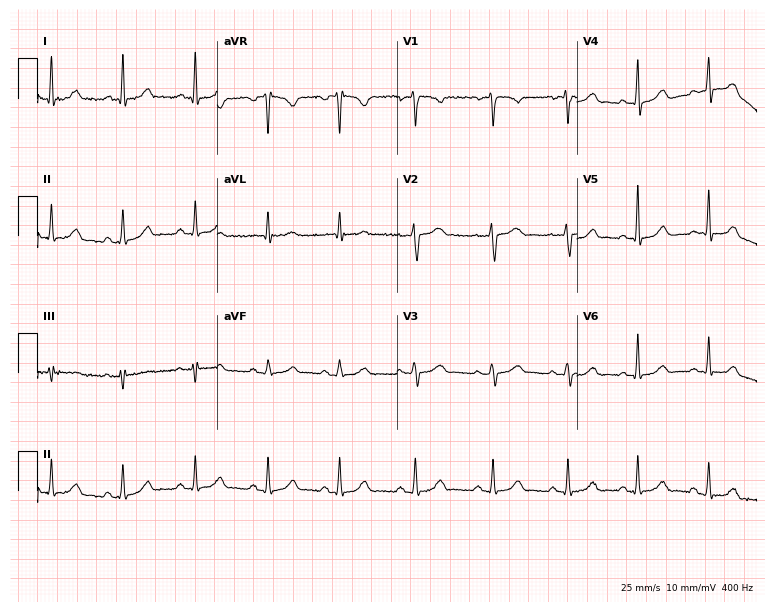
Electrocardiogram (7.3-second recording at 400 Hz), a female patient, 42 years old. Overall reading on record: normal ECG.